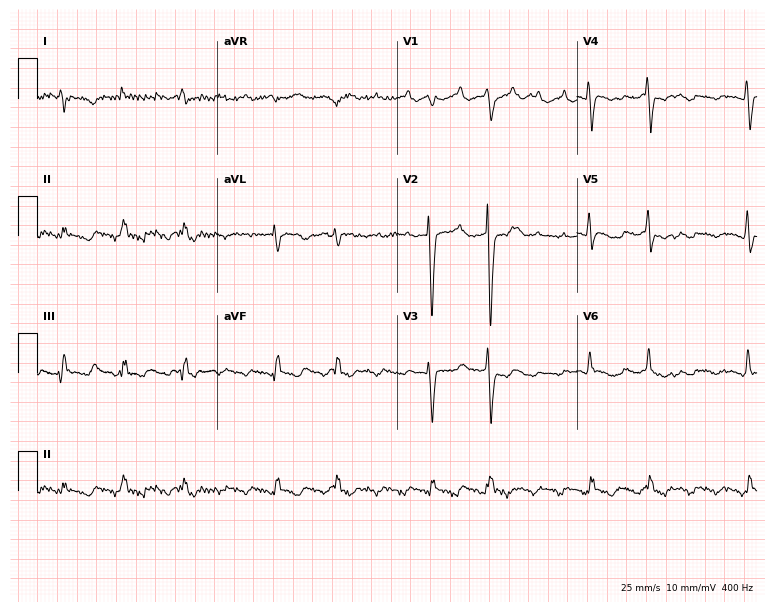
Electrocardiogram (7.3-second recording at 400 Hz), an 82-year-old male patient. Of the six screened findings (first-degree AV block, right bundle branch block (RBBB), left bundle branch block (LBBB), sinus bradycardia, atrial fibrillation (AF), sinus tachycardia), none is recorded. Other findings, if any, are not listed.